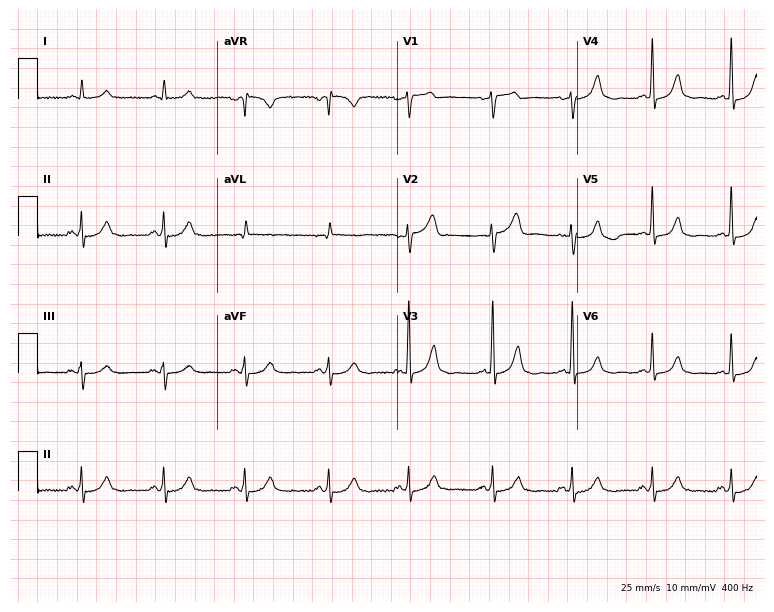
12-lead ECG from a 66-year-old male (7.3-second recording at 400 Hz). Recorded interpretation: within normal limits.